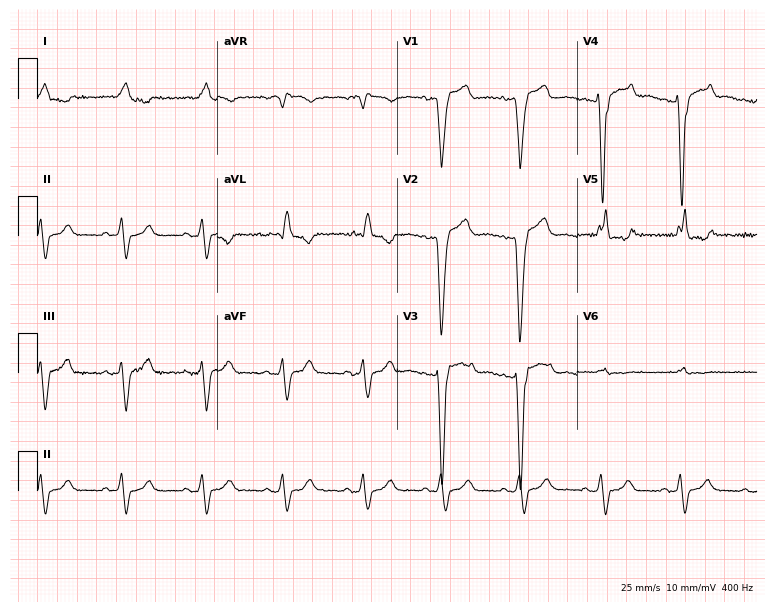
Standard 12-lead ECG recorded from a woman, 83 years old (7.3-second recording at 400 Hz). None of these six findings is recorded: first-degree AV block, right bundle branch block, left bundle branch block, sinus bradycardia, atrial fibrillation, sinus tachycardia.